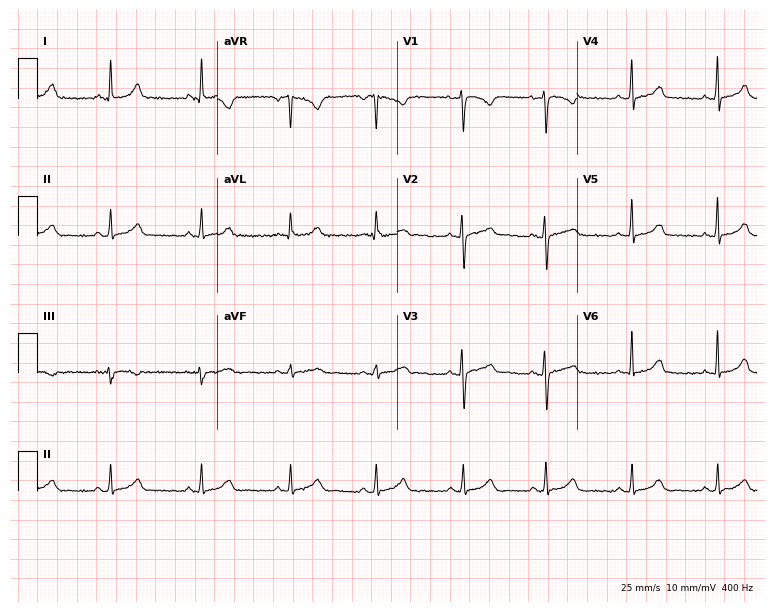
12-lead ECG from a woman, 30 years old (7.3-second recording at 400 Hz). Recorded interpretation: within normal limits.